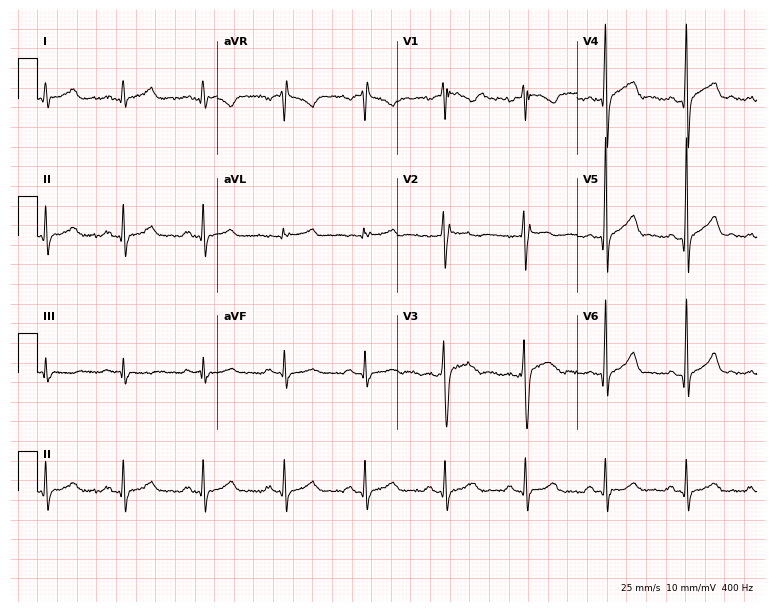
ECG — a man, 33 years old. Labelled as a normal ECG.